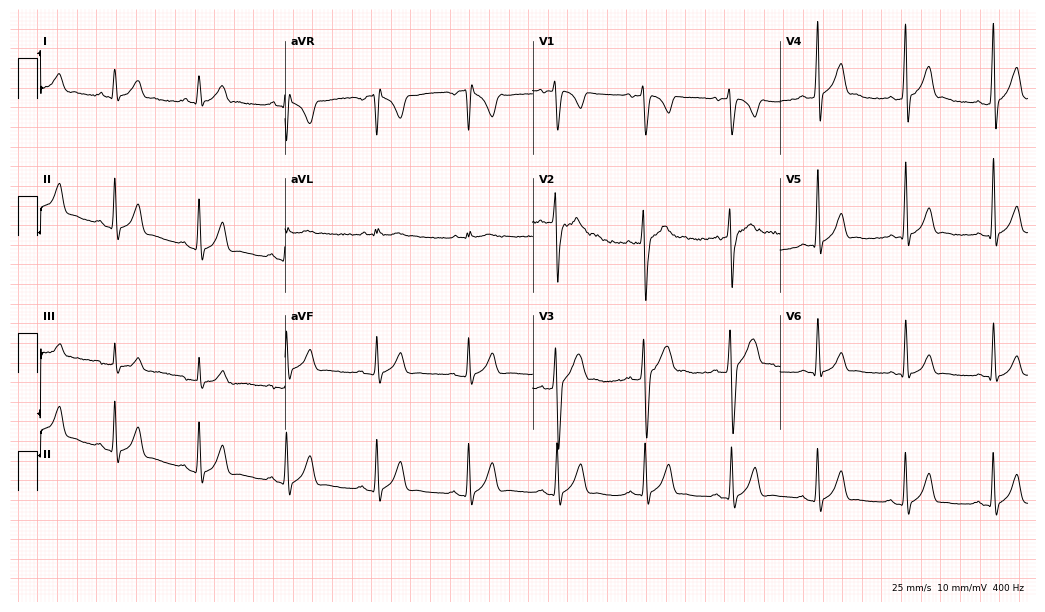
Resting 12-lead electrocardiogram (10.1-second recording at 400 Hz). Patient: a 19-year-old male. Read as a normal ECG.